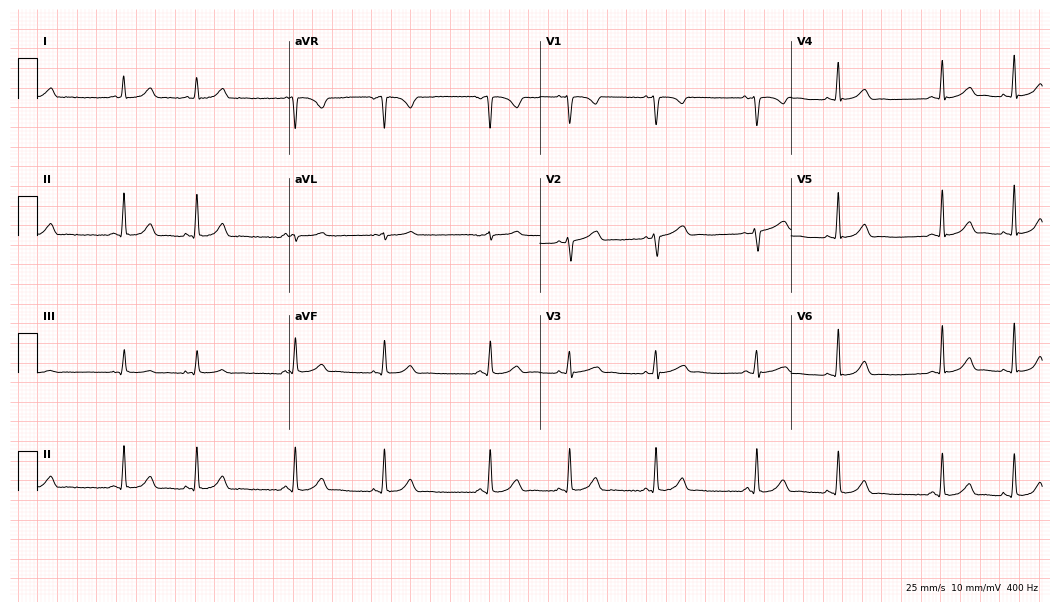
Standard 12-lead ECG recorded from an 18-year-old female patient (10.2-second recording at 400 Hz). Read as a normal ECG.